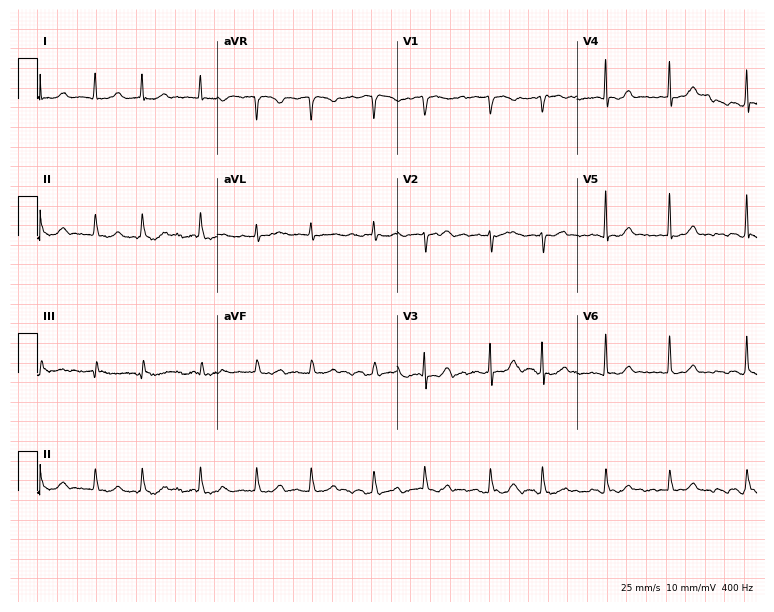
Standard 12-lead ECG recorded from an 85-year-old woman (7.3-second recording at 400 Hz). The tracing shows atrial fibrillation.